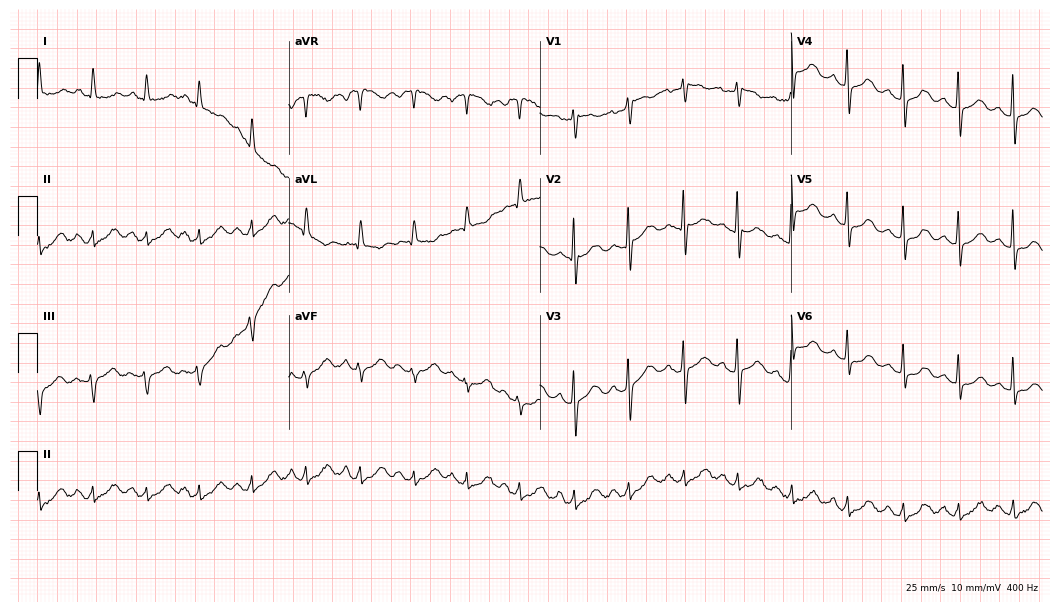
ECG (10.2-second recording at 400 Hz) — a woman, 58 years old. Findings include sinus tachycardia (a sinus rate of 100 beats per minute or more).